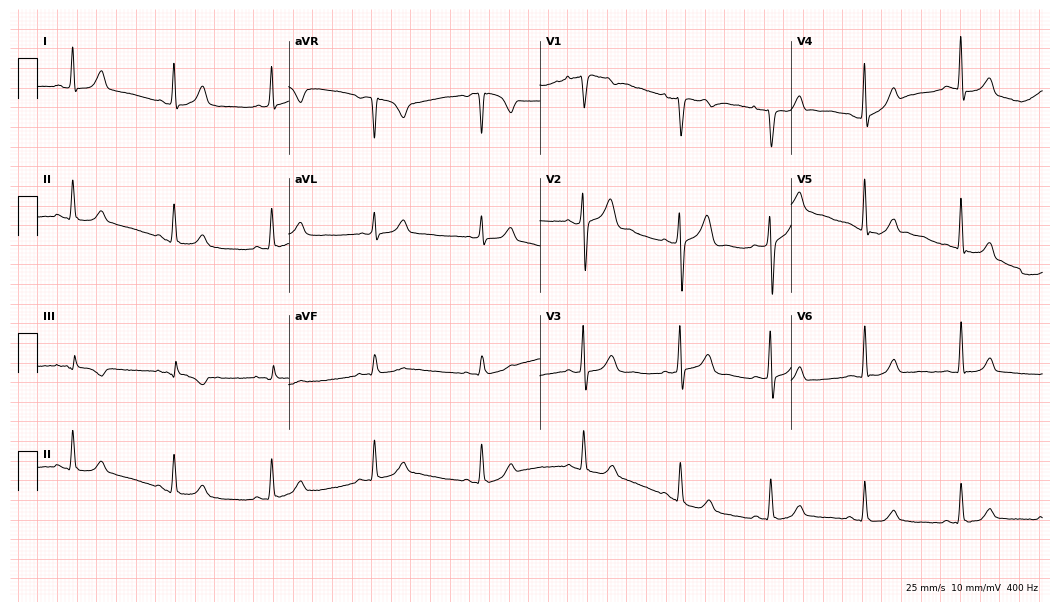
Electrocardiogram, a man, 27 years old. Overall reading on record: normal ECG.